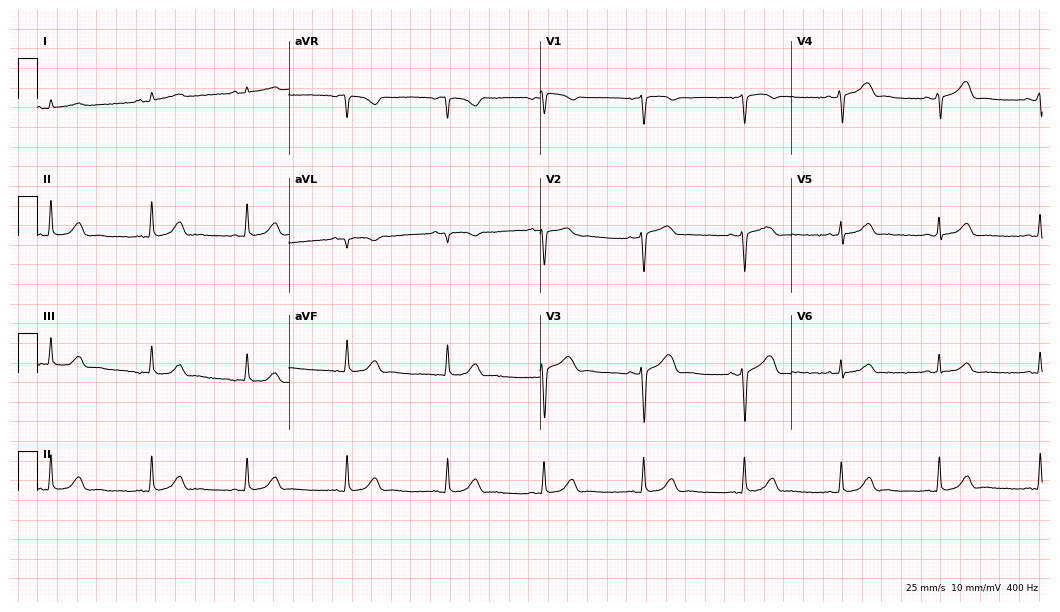
ECG — a female patient, 57 years old. Labelled as a normal ECG.